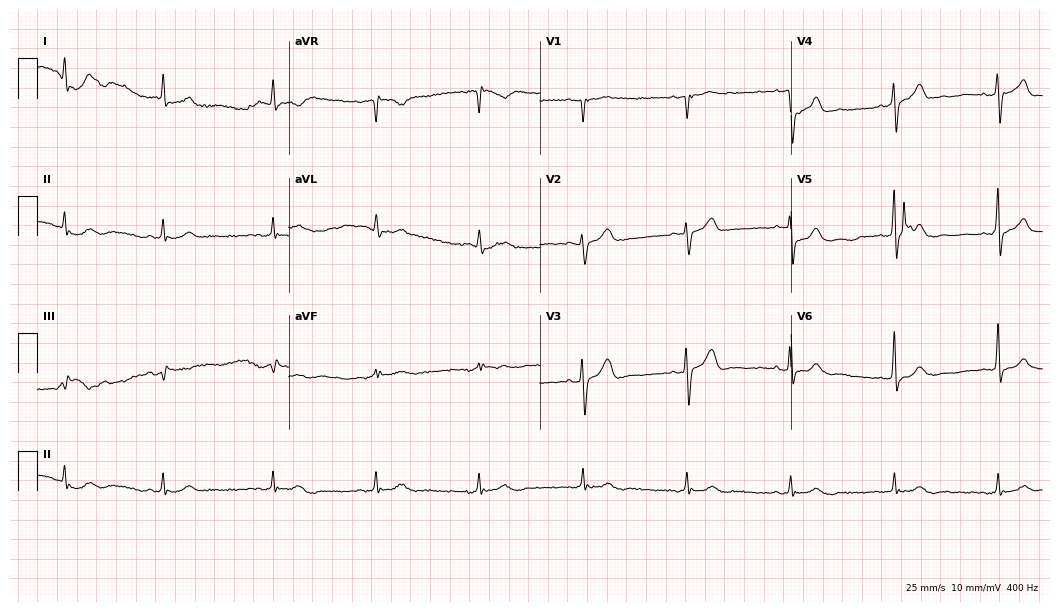
Electrocardiogram, an 83-year-old male patient. Of the six screened findings (first-degree AV block, right bundle branch block (RBBB), left bundle branch block (LBBB), sinus bradycardia, atrial fibrillation (AF), sinus tachycardia), none is recorded. Only these six findings were labelled.